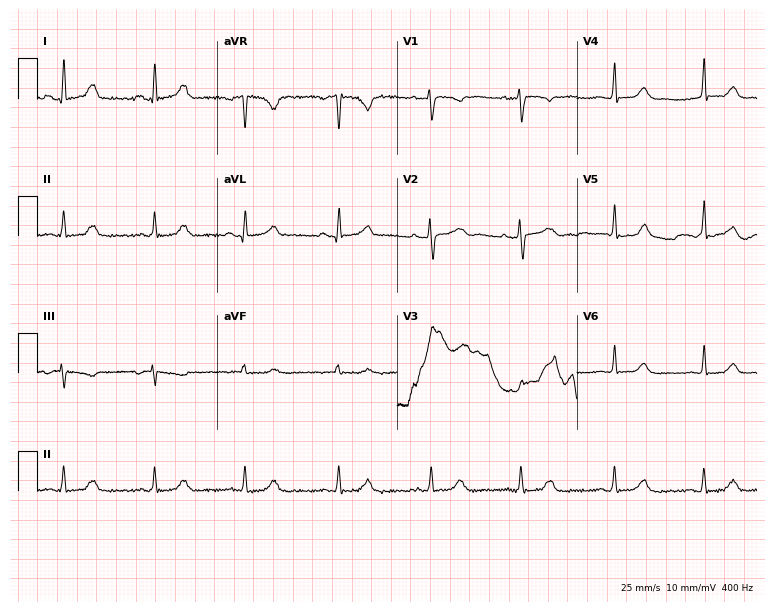
12-lead ECG from a 33-year-old female patient. Recorded interpretation: within normal limits.